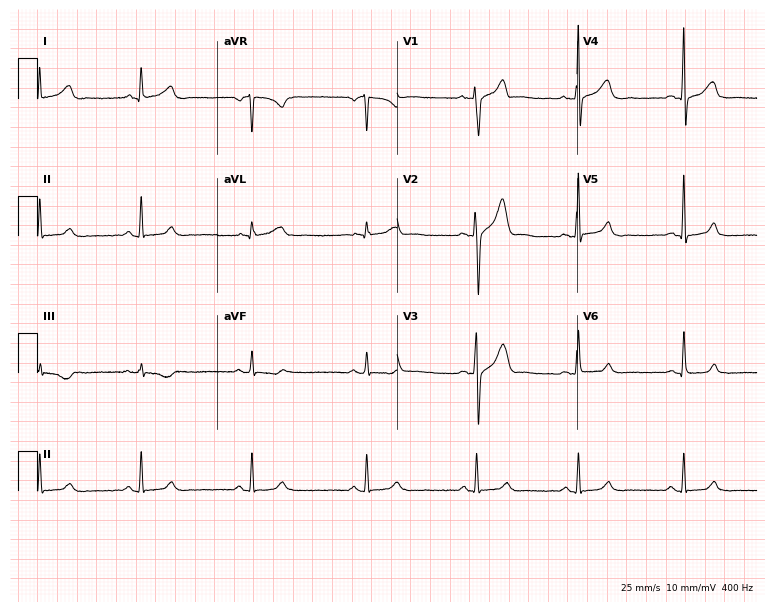
Electrocardiogram (7.3-second recording at 400 Hz), a male patient, 21 years old. Overall reading on record: normal ECG.